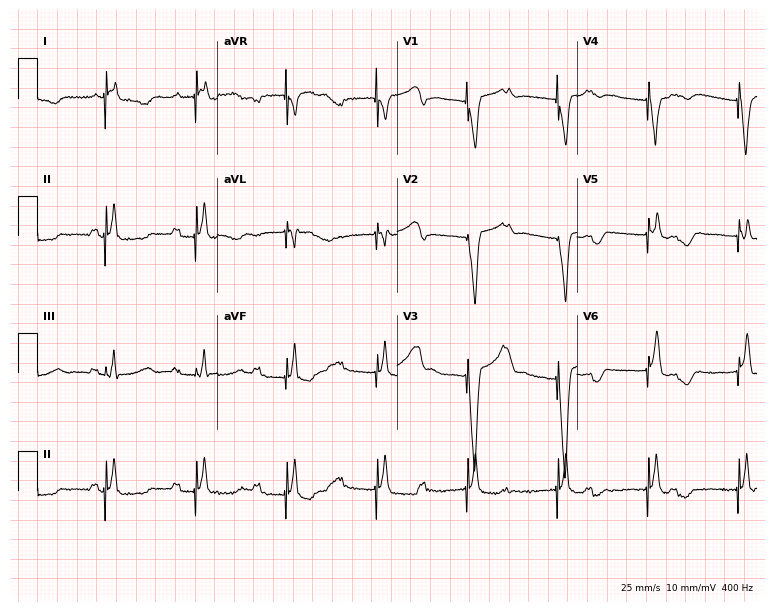
Standard 12-lead ECG recorded from a female patient, 67 years old. None of these six findings is recorded: first-degree AV block, right bundle branch block, left bundle branch block, sinus bradycardia, atrial fibrillation, sinus tachycardia. Other findings, if any, are not listed.